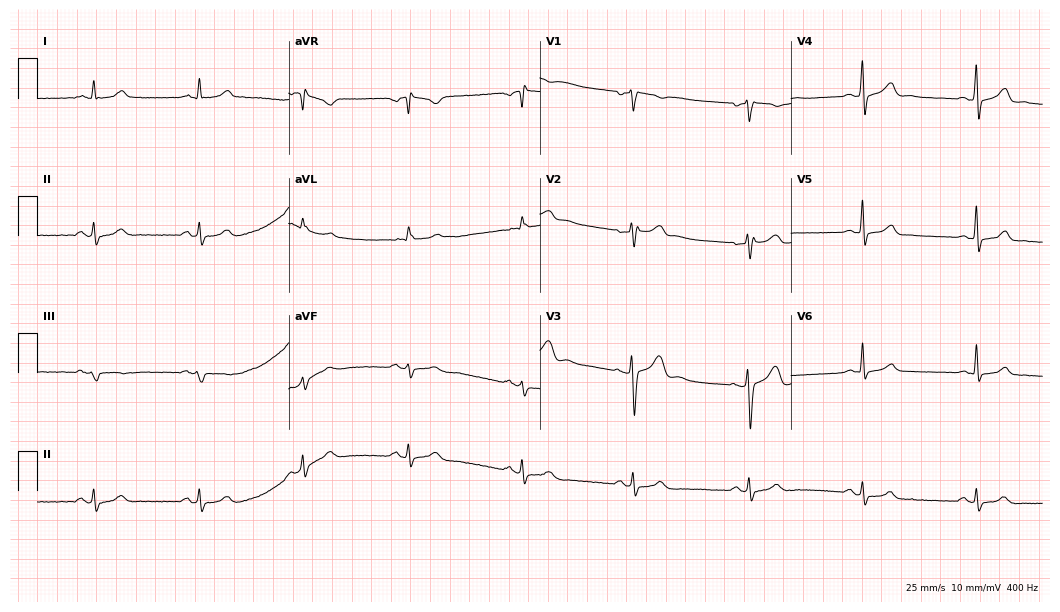
12-lead ECG from a man, 39 years old. Recorded interpretation: within normal limits.